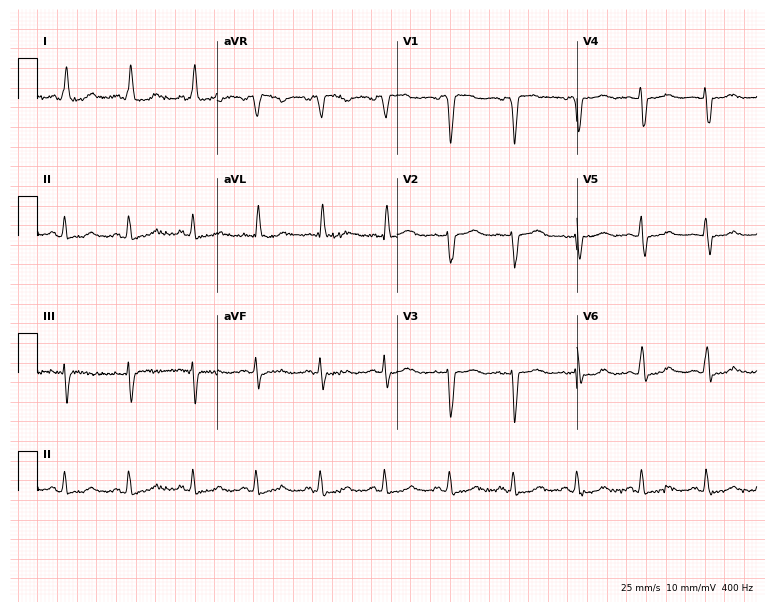
Electrocardiogram, a woman, 61 years old. Of the six screened findings (first-degree AV block, right bundle branch block, left bundle branch block, sinus bradycardia, atrial fibrillation, sinus tachycardia), none is recorded. Only these six findings were labelled.